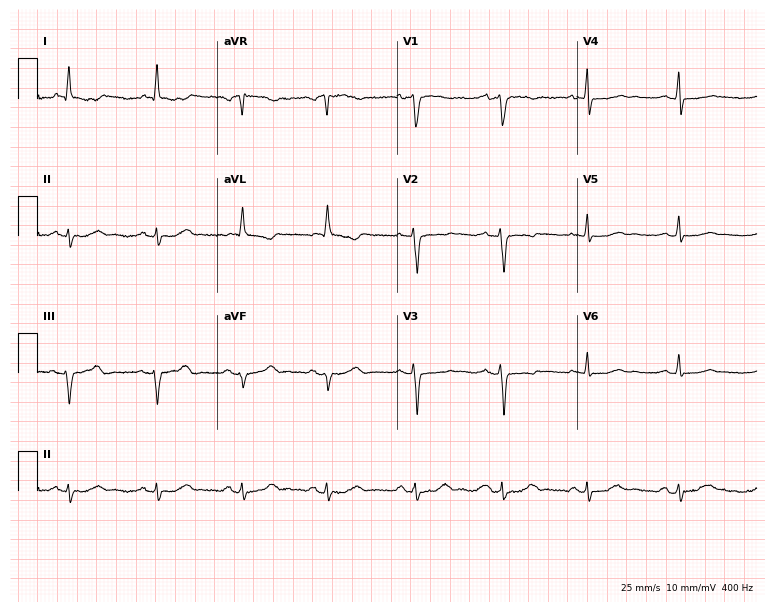
Electrocardiogram (7.3-second recording at 400 Hz), a 64-year-old female patient. Of the six screened findings (first-degree AV block, right bundle branch block (RBBB), left bundle branch block (LBBB), sinus bradycardia, atrial fibrillation (AF), sinus tachycardia), none is recorded.